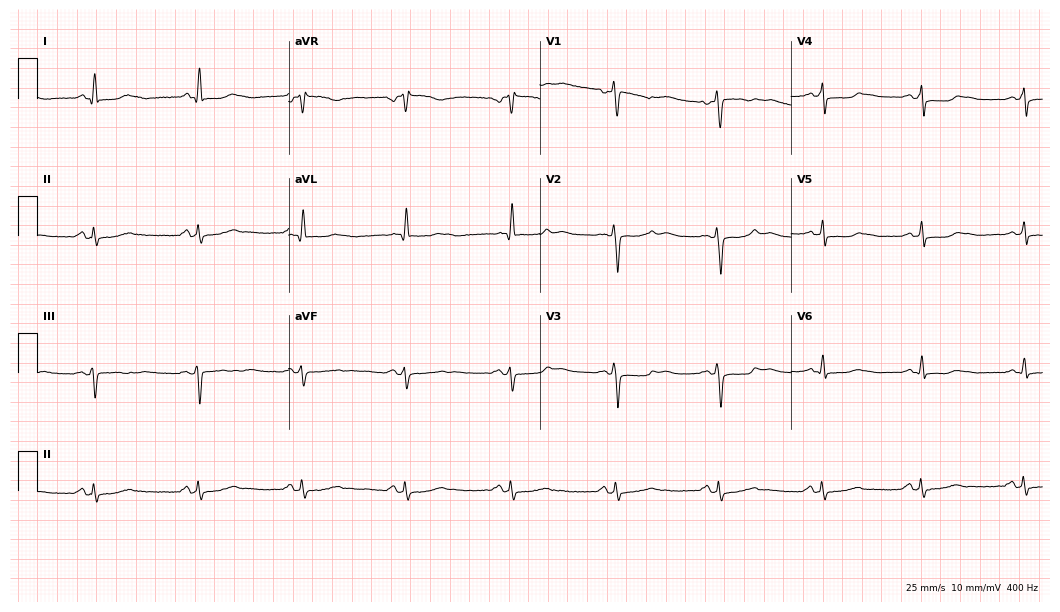
12-lead ECG from a 59-year-old female. Shows sinus bradycardia (a sinus rate of 50 beats per minute or less).